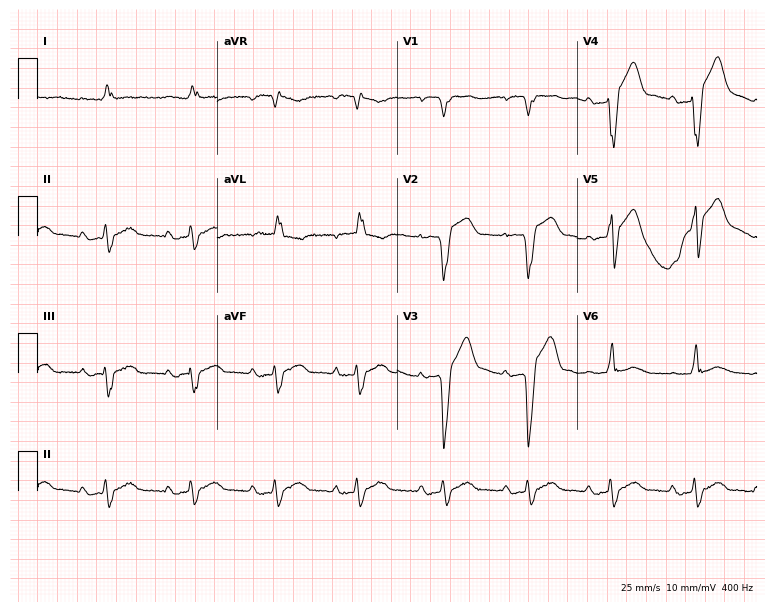
Electrocardiogram, a male patient, 83 years old. Interpretation includes first-degree AV block, left bundle branch block.